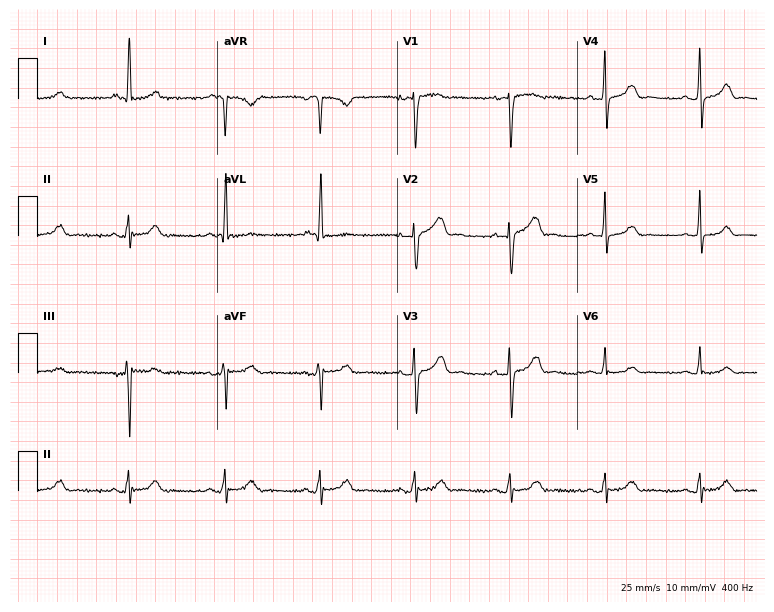
12-lead ECG from a woman, 65 years old. Labelled as a normal ECG.